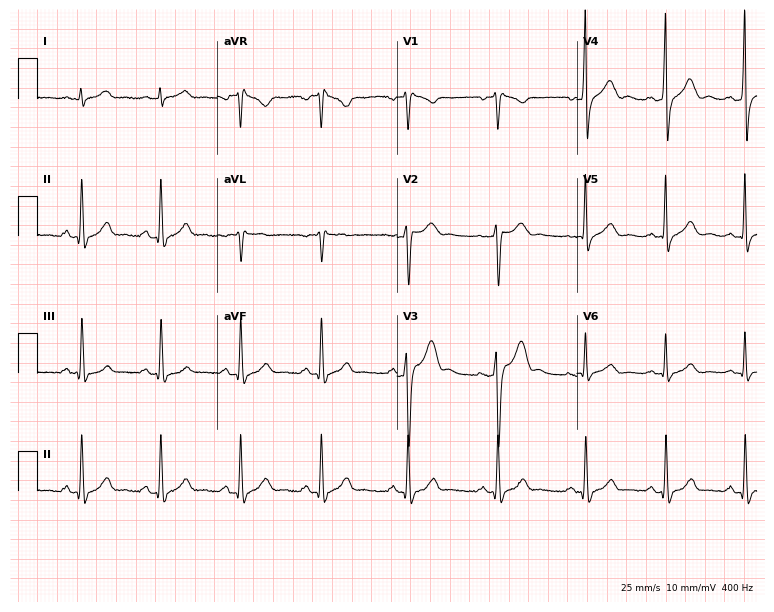
Electrocardiogram, a man, 38 years old. Of the six screened findings (first-degree AV block, right bundle branch block, left bundle branch block, sinus bradycardia, atrial fibrillation, sinus tachycardia), none is recorded.